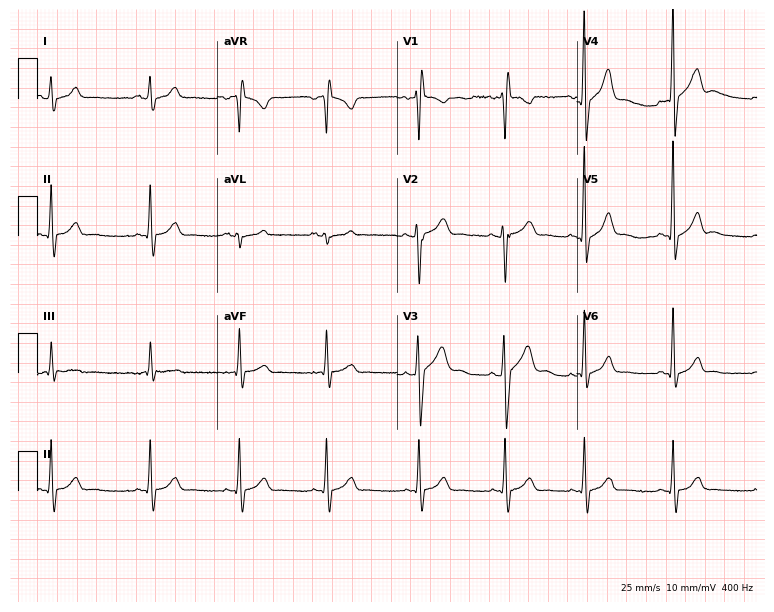
12-lead ECG from an 18-year-old male. Screened for six findings — first-degree AV block, right bundle branch block, left bundle branch block, sinus bradycardia, atrial fibrillation, sinus tachycardia — none is recorded.